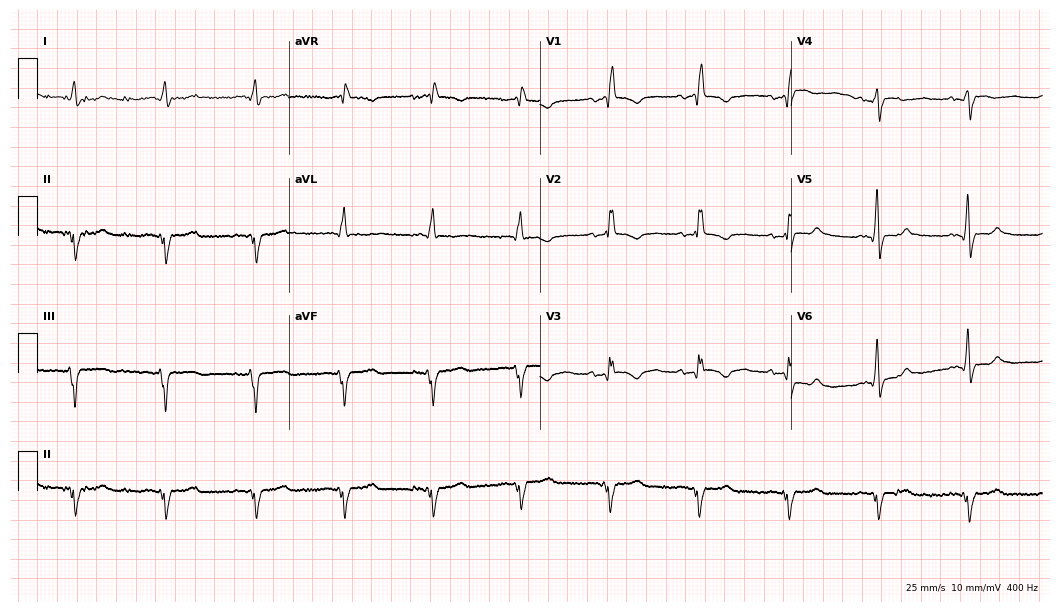
Standard 12-lead ECG recorded from a man, 68 years old (10.2-second recording at 400 Hz). The tracing shows right bundle branch block.